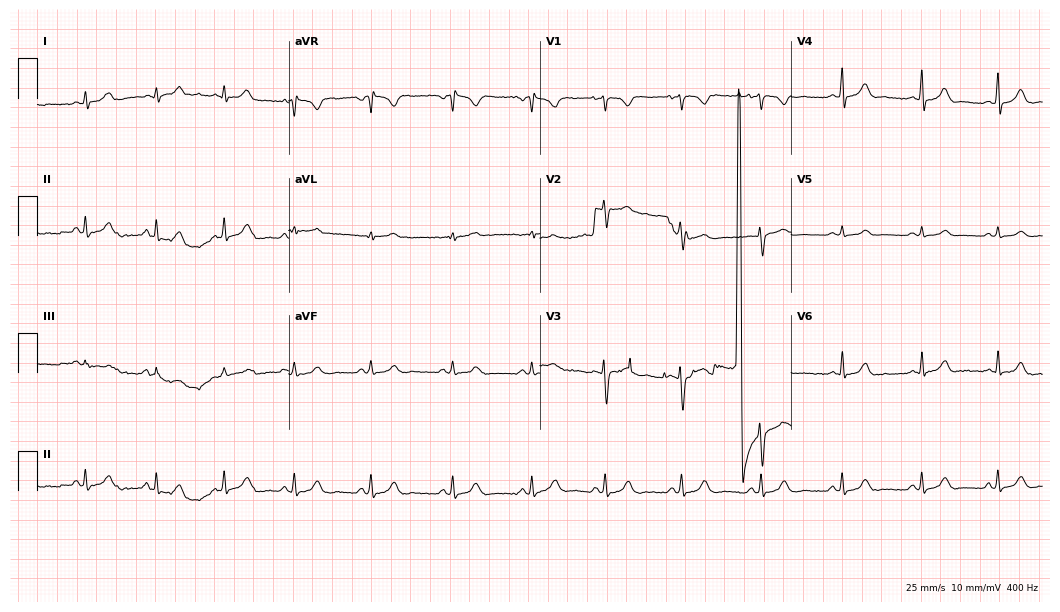
12-lead ECG from a 28-year-old female (10.2-second recording at 400 Hz). No first-degree AV block, right bundle branch block, left bundle branch block, sinus bradycardia, atrial fibrillation or sinus tachycardia recorded for this tracing.